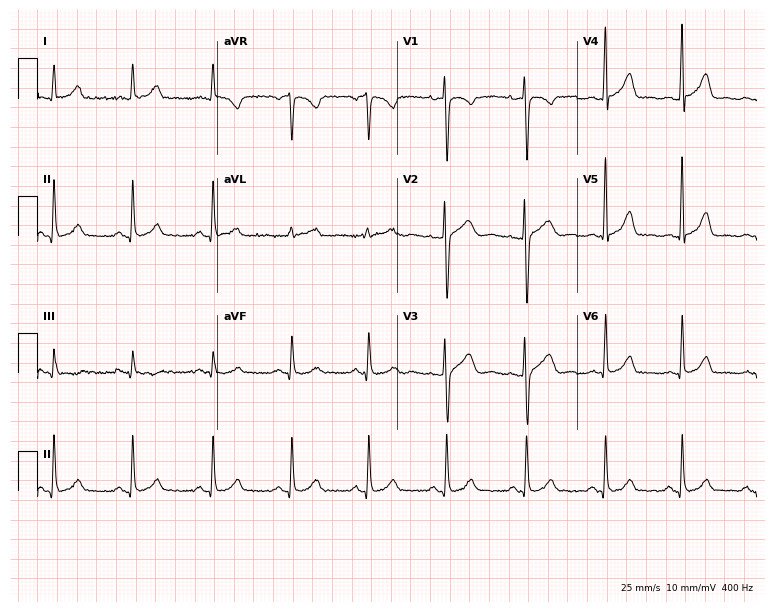
12-lead ECG from a female patient, 28 years old (7.3-second recording at 400 Hz). Recorded interpretation: within normal limits.